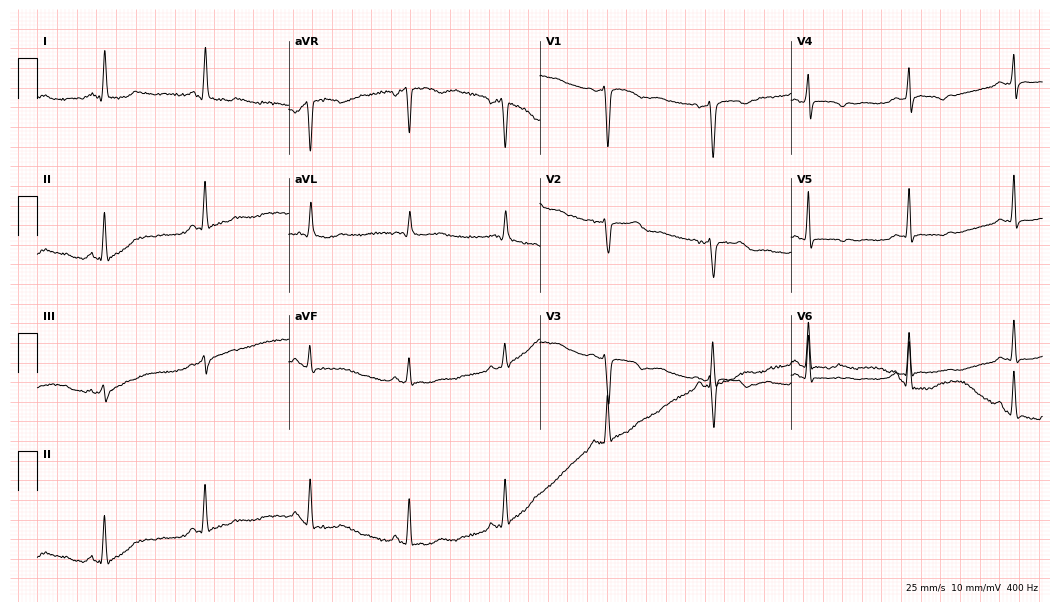
Resting 12-lead electrocardiogram. Patient: a 53-year-old woman. None of these six findings is recorded: first-degree AV block, right bundle branch block, left bundle branch block, sinus bradycardia, atrial fibrillation, sinus tachycardia. Findings outside these six are not listed.